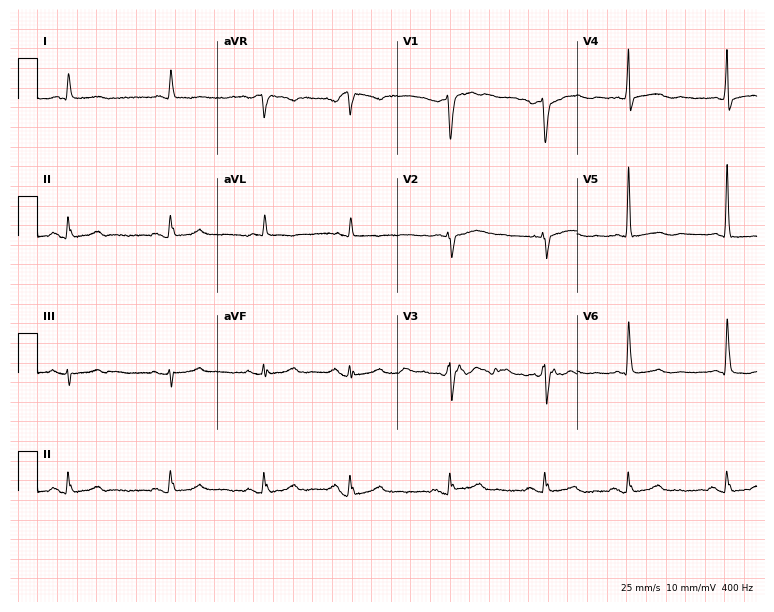
Standard 12-lead ECG recorded from a 61-year-old male patient. None of these six findings is recorded: first-degree AV block, right bundle branch block, left bundle branch block, sinus bradycardia, atrial fibrillation, sinus tachycardia. Only these six findings were labelled.